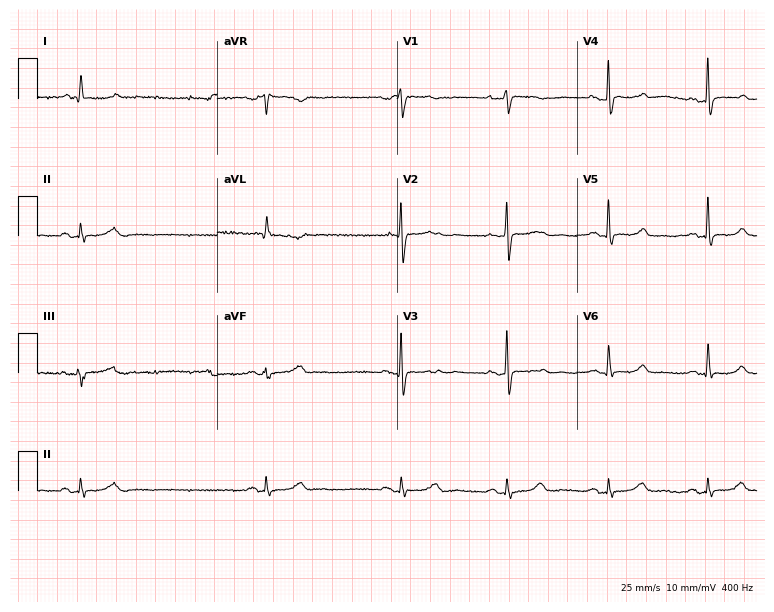
Electrocardiogram, a woman, 61 years old. Overall reading on record: normal ECG.